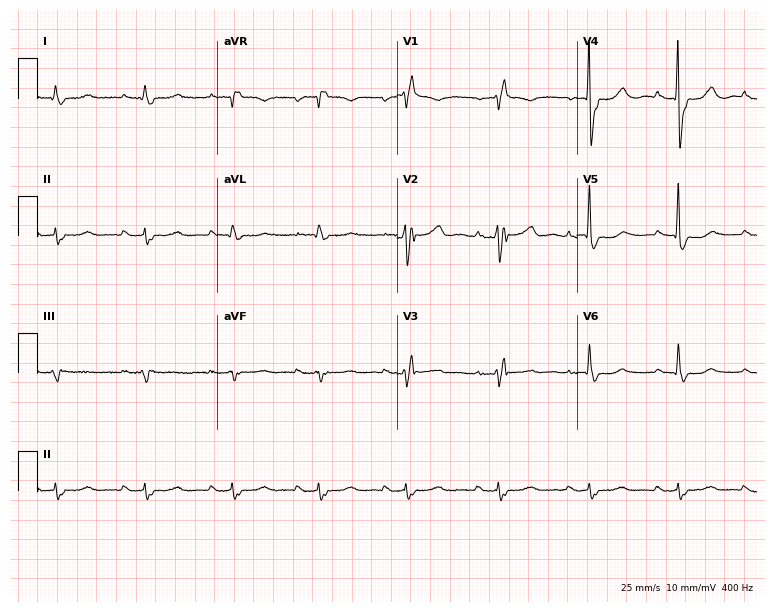
Standard 12-lead ECG recorded from a 75-year-old male. The tracing shows first-degree AV block, right bundle branch block (RBBB).